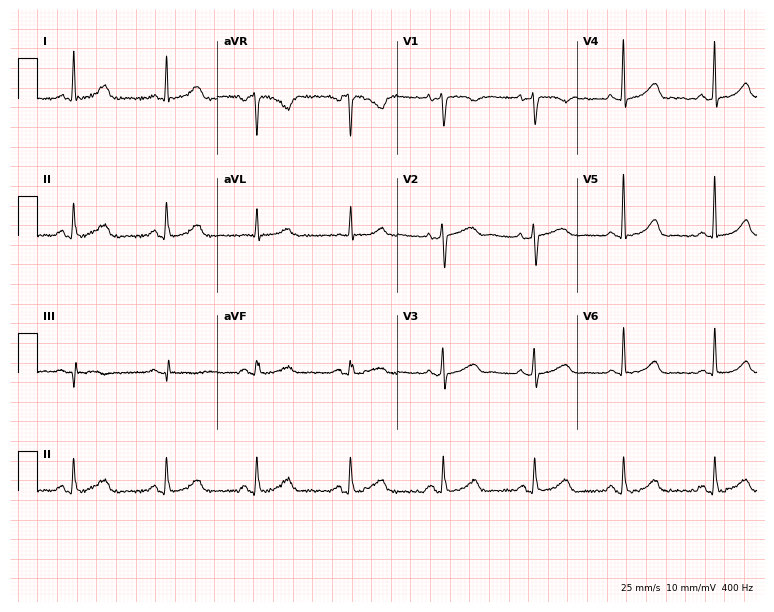
12-lead ECG (7.3-second recording at 400 Hz) from a 60-year-old woman. Screened for six findings — first-degree AV block, right bundle branch block, left bundle branch block, sinus bradycardia, atrial fibrillation, sinus tachycardia — none is recorded.